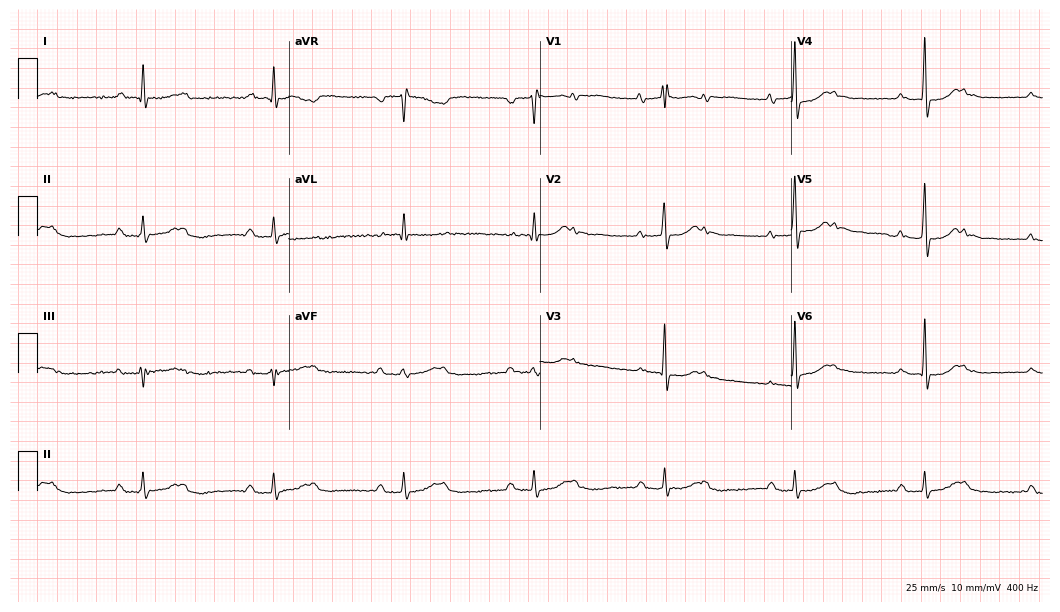
12-lead ECG from a 76-year-old female patient (10.2-second recording at 400 Hz). Shows first-degree AV block, right bundle branch block (RBBB).